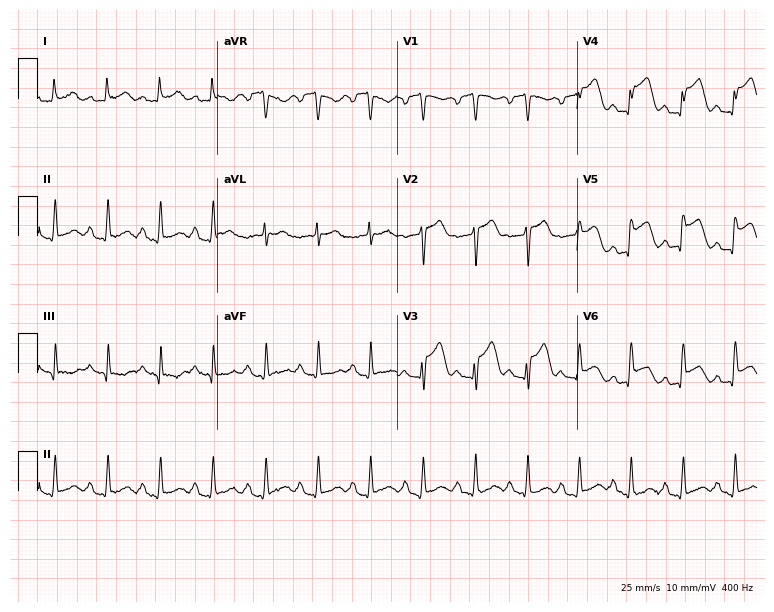
Resting 12-lead electrocardiogram (7.3-second recording at 400 Hz). Patient: a female, 70 years old. None of these six findings is recorded: first-degree AV block, right bundle branch block, left bundle branch block, sinus bradycardia, atrial fibrillation, sinus tachycardia.